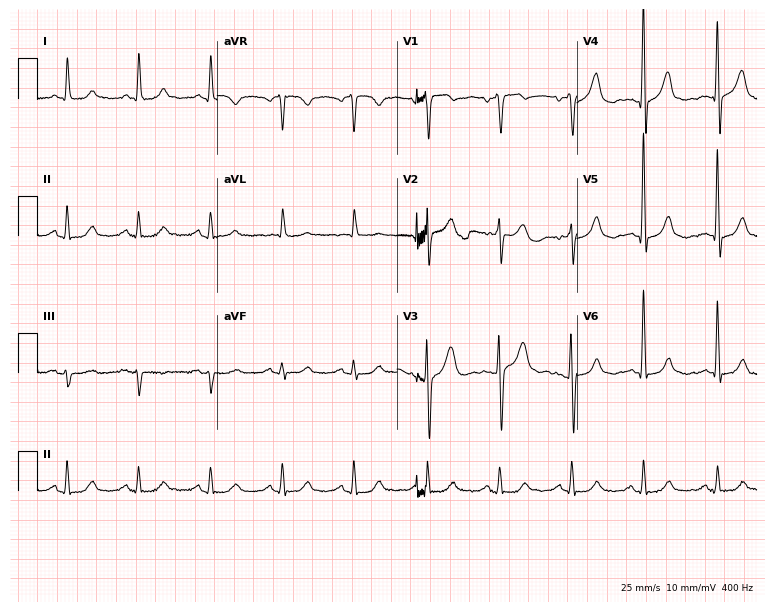
Resting 12-lead electrocardiogram. Patient: a male, 76 years old. Read as a normal ECG.